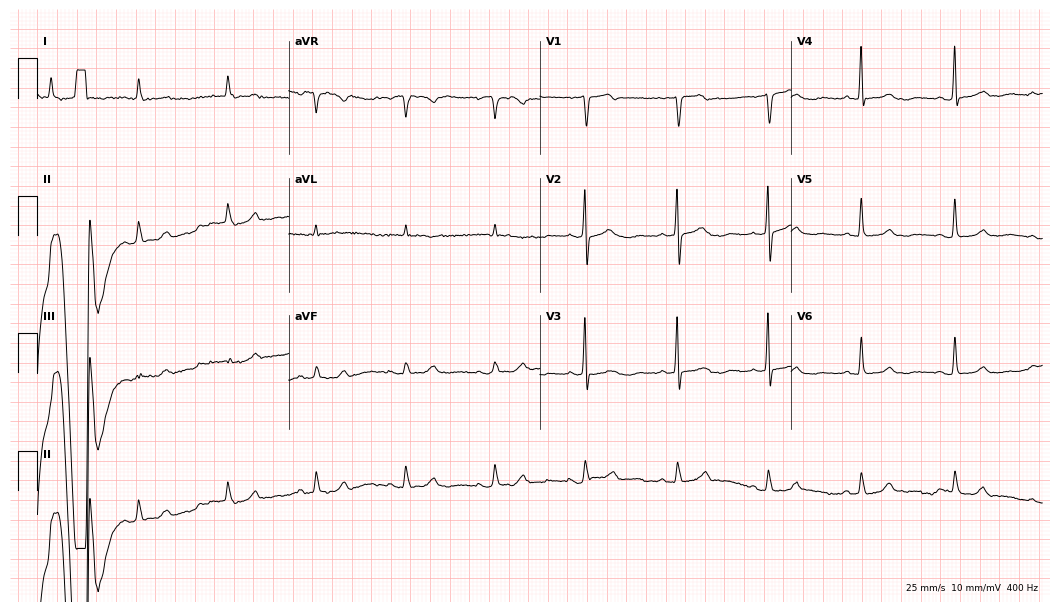
12-lead ECG from a 64-year-old man. No first-degree AV block, right bundle branch block, left bundle branch block, sinus bradycardia, atrial fibrillation or sinus tachycardia recorded for this tracing.